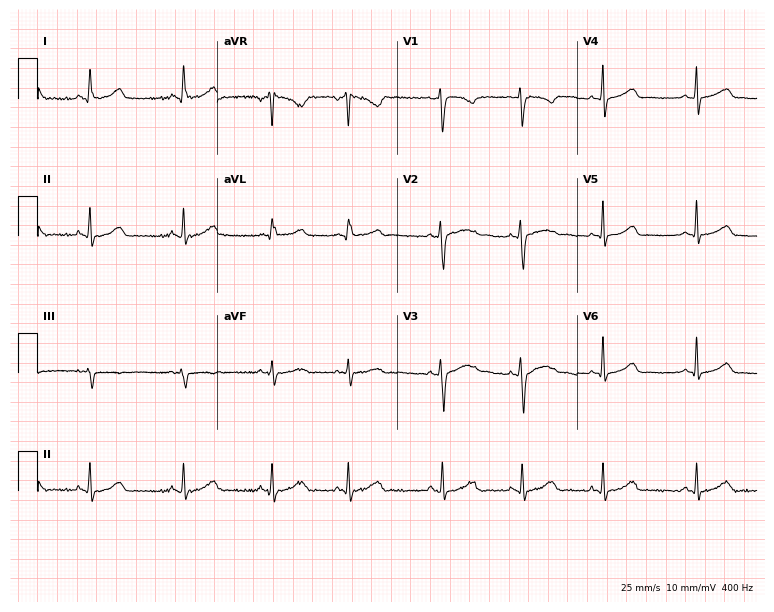
ECG — a 27-year-old female patient. Labelled as a normal ECG.